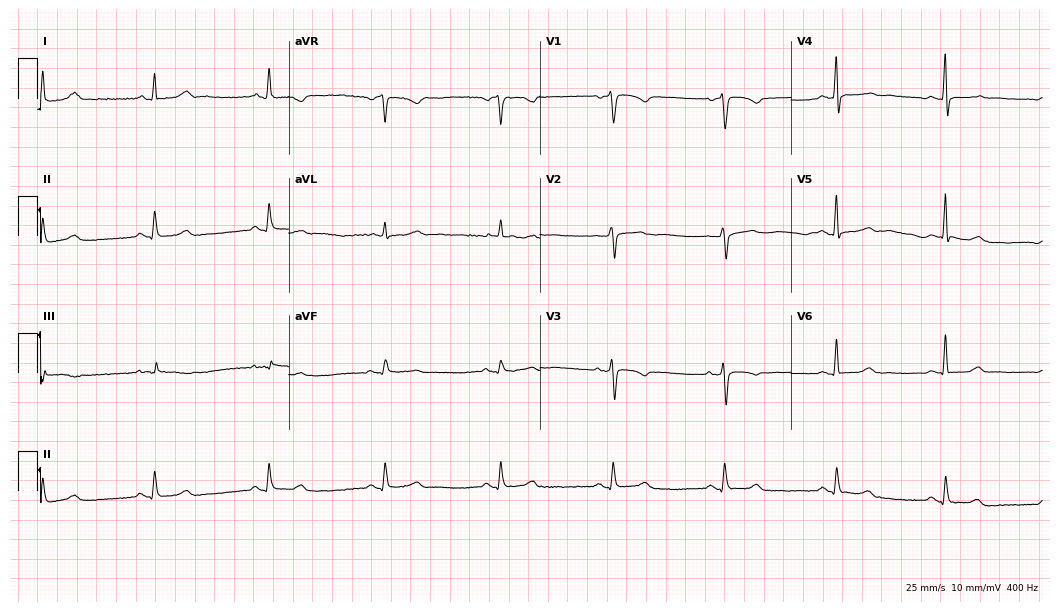
12-lead ECG from a 55-year-old woman. No first-degree AV block, right bundle branch block (RBBB), left bundle branch block (LBBB), sinus bradycardia, atrial fibrillation (AF) or sinus tachycardia recorded for this tracing.